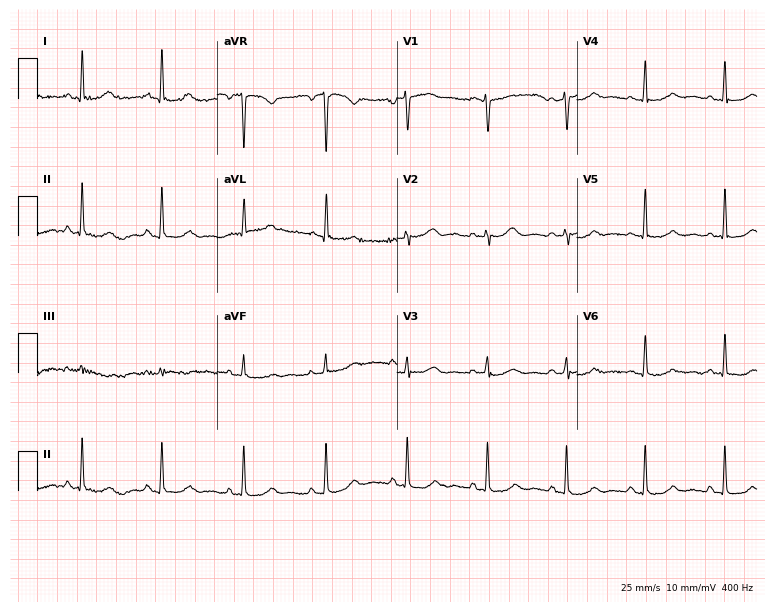
12-lead ECG from a 69-year-old female (7.3-second recording at 400 Hz). Recorded interpretation: within normal limits.